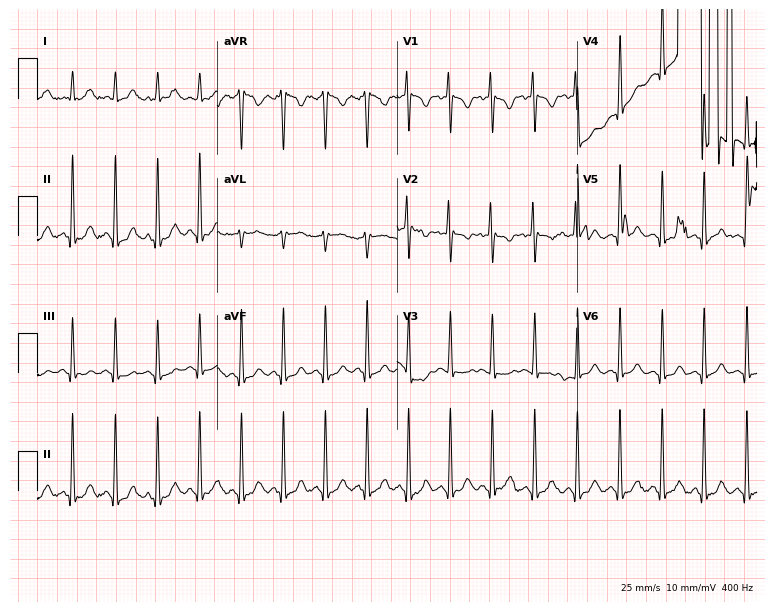
12-lead ECG from a 19-year-old female. Findings include sinus tachycardia (a sinus rate of 100 beats per minute or more).